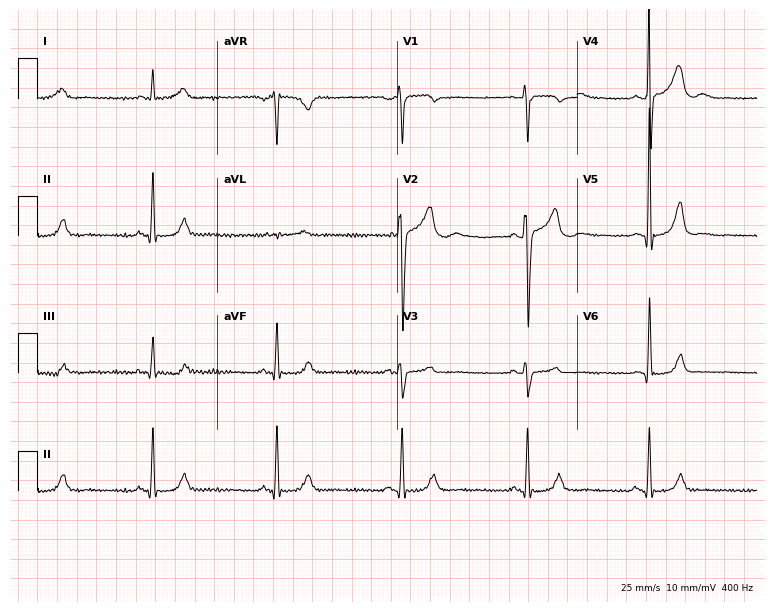
Resting 12-lead electrocardiogram. Patient: a 38-year-old male. None of these six findings is recorded: first-degree AV block, right bundle branch block, left bundle branch block, sinus bradycardia, atrial fibrillation, sinus tachycardia. Only these six findings were labelled.